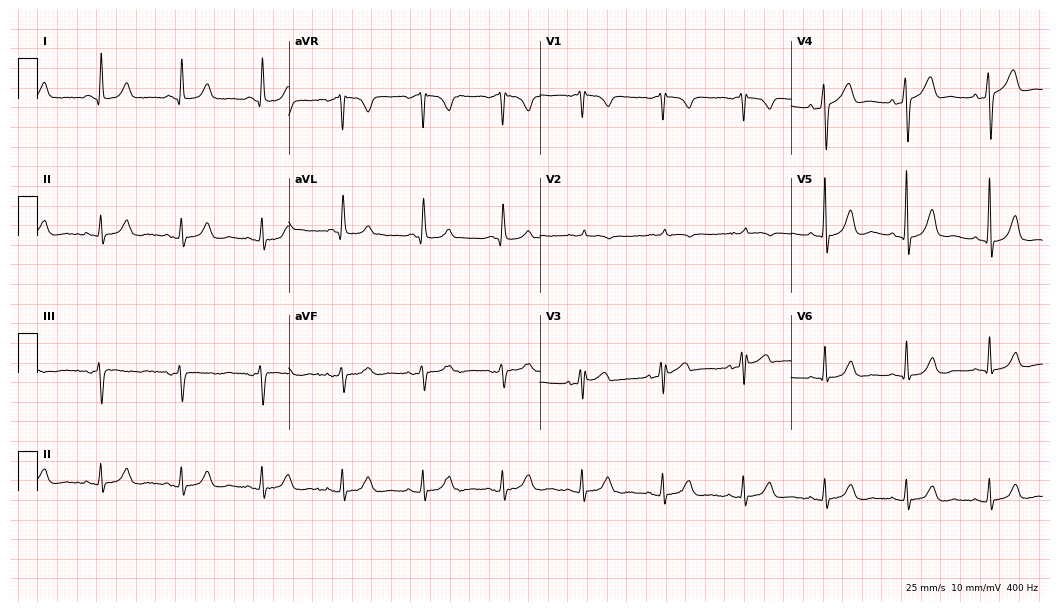
12-lead ECG (10.2-second recording at 400 Hz) from a female patient, 60 years old. Labelled as a normal ECG.